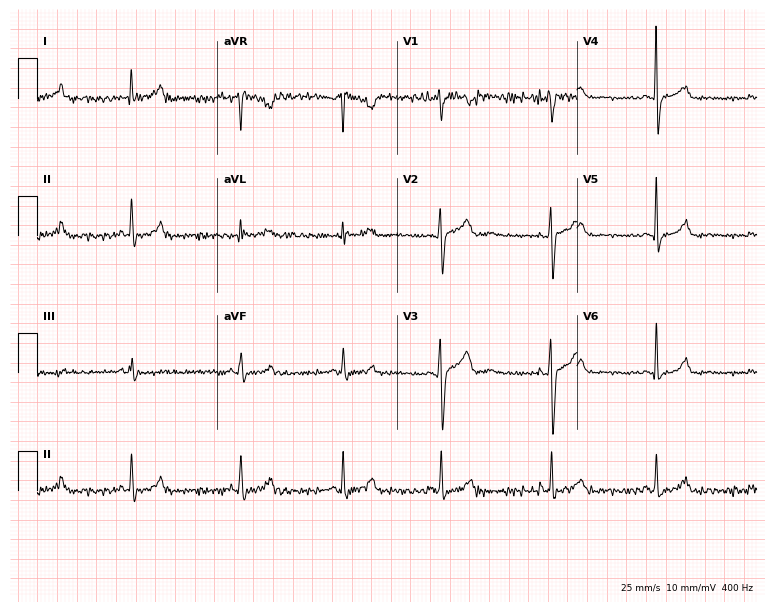
Resting 12-lead electrocardiogram (7.3-second recording at 400 Hz). Patient: a female, 24 years old. Read as a normal ECG.